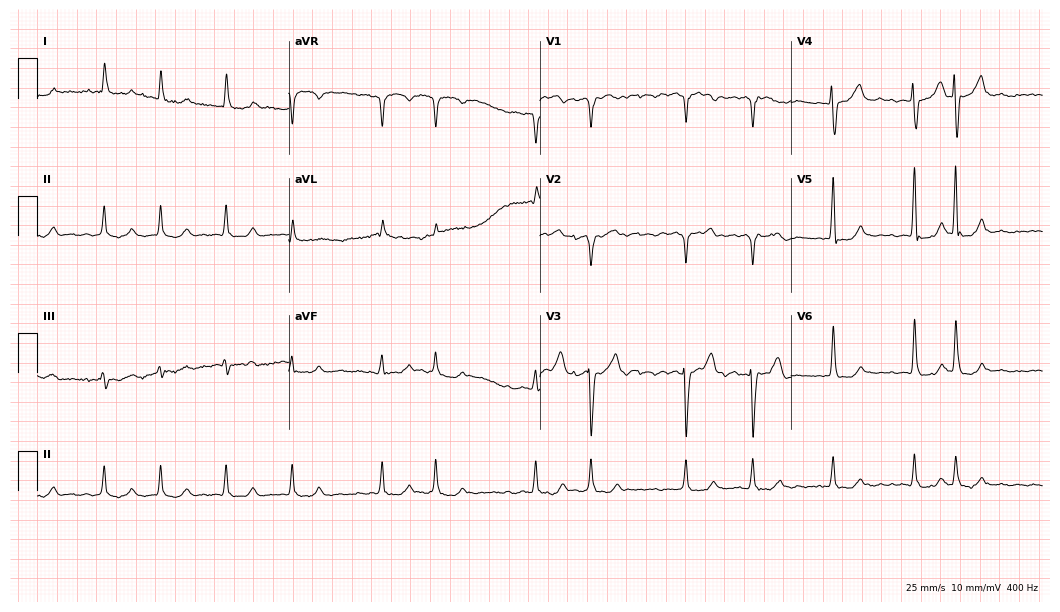
Electrocardiogram, a 79-year-old female. Of the six screened findings (first-degree AV block, right bundle branch block (RBBB), left bundle branch block (LBBB), sinus bradycardia, atrial fibrillation (AF), sinus tachycardia), none is recorded. Other findings, if any, are not listed.